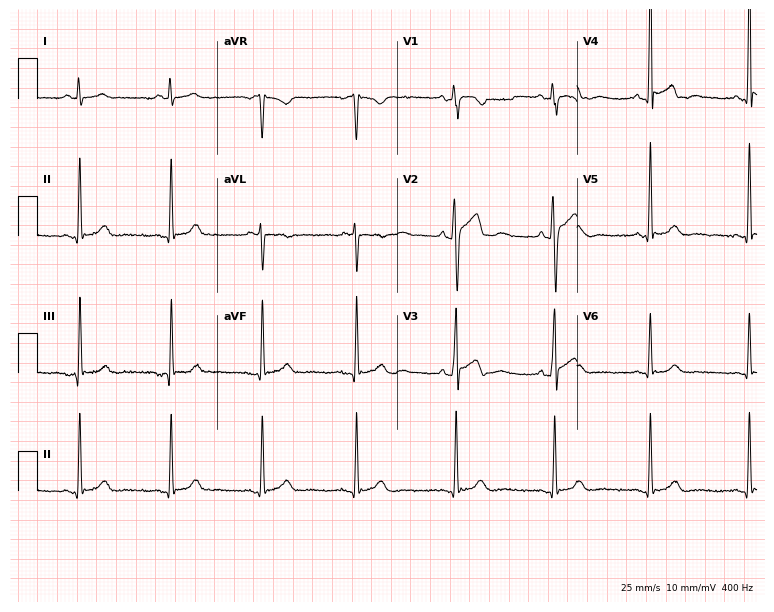
12-lead ECG (7.3-second recording at 400 Hz) from a male, 37 years old. Labelled as a normal ECG.